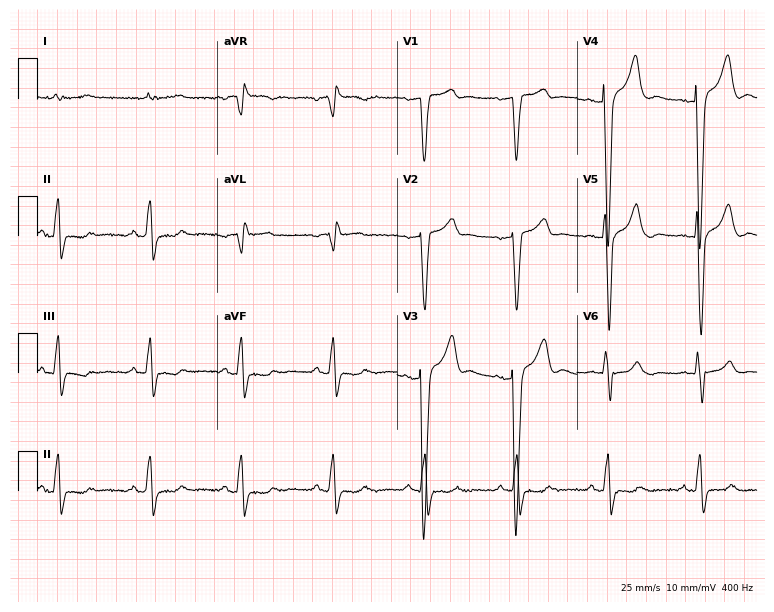
ECG (7.3-second recording at 400 Hz) — an 84-year-old male patient. Screened for six findings — first-degree AV block, right bundle branch block, left bundle branch block, sinus bradycardia, atrial fibrillation, sinus tachycardia — none is recorded.